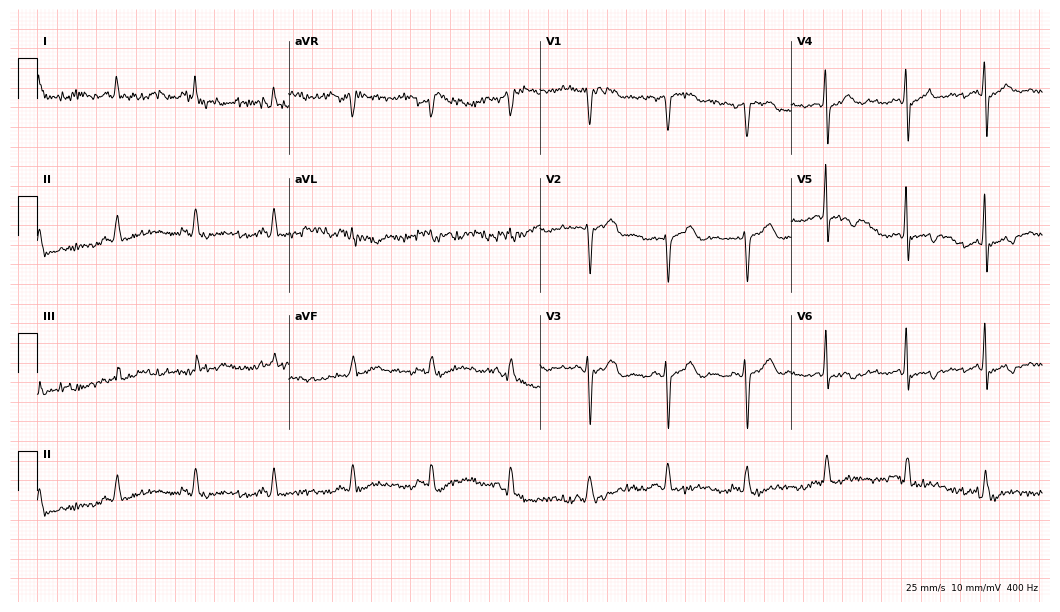
Electrocardiogram, a male, 65 years old. Of the six screened findings (first-degree AV block, right bundle branch block, left bundle branch block, sinus bradycardia, atrial fibrillation, sinus tachycardia), none is recorded. Findings outside these six are not listed.